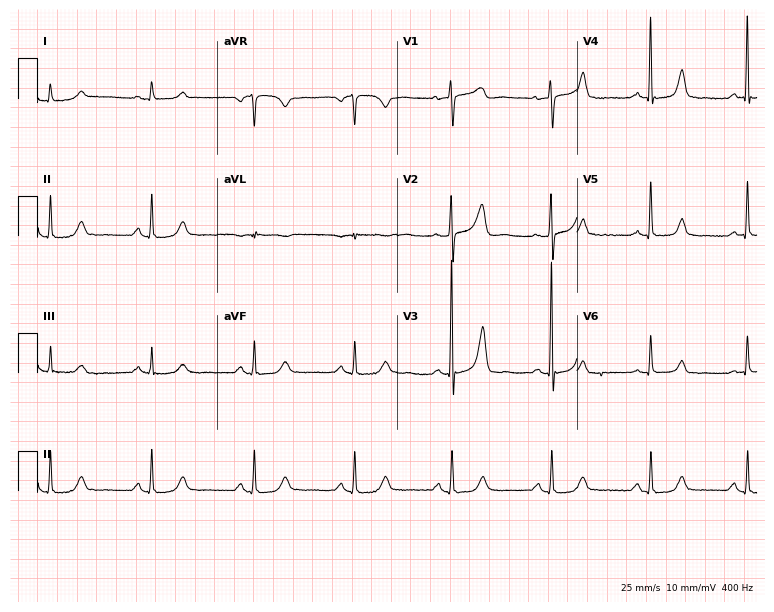
12-lead ECG from a woman, 64 years old. Recorded interpretation: within normal limits.